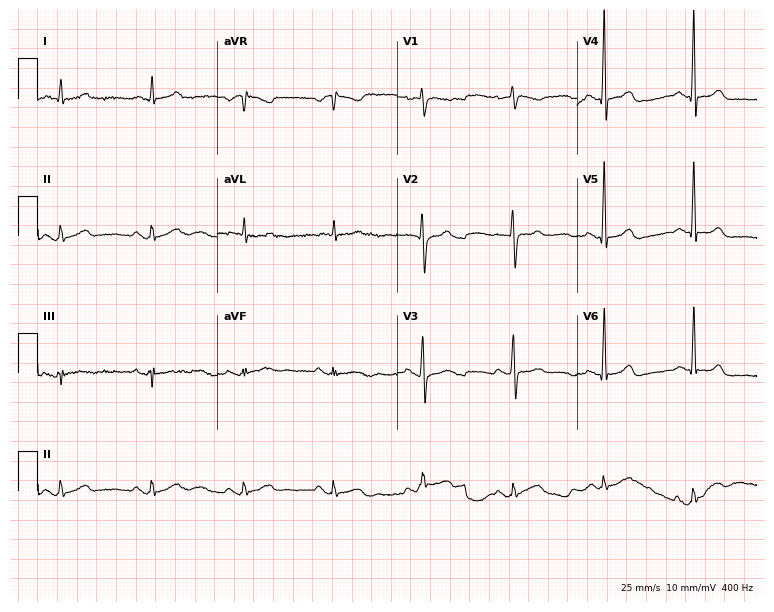
12-lead ECG from a male, 38 years old (7.3-second recording at 400 Hz). Recorded interpretation: within normal limits.